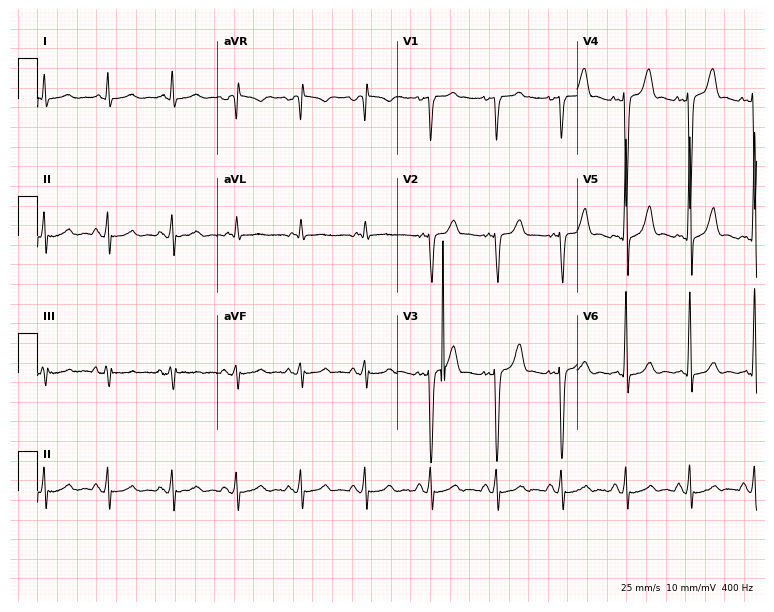
Standard 12-lead ECG recorded from a male patient, 49 years old (7.3-second recording at 400 Hz). Read as a normal ECG.